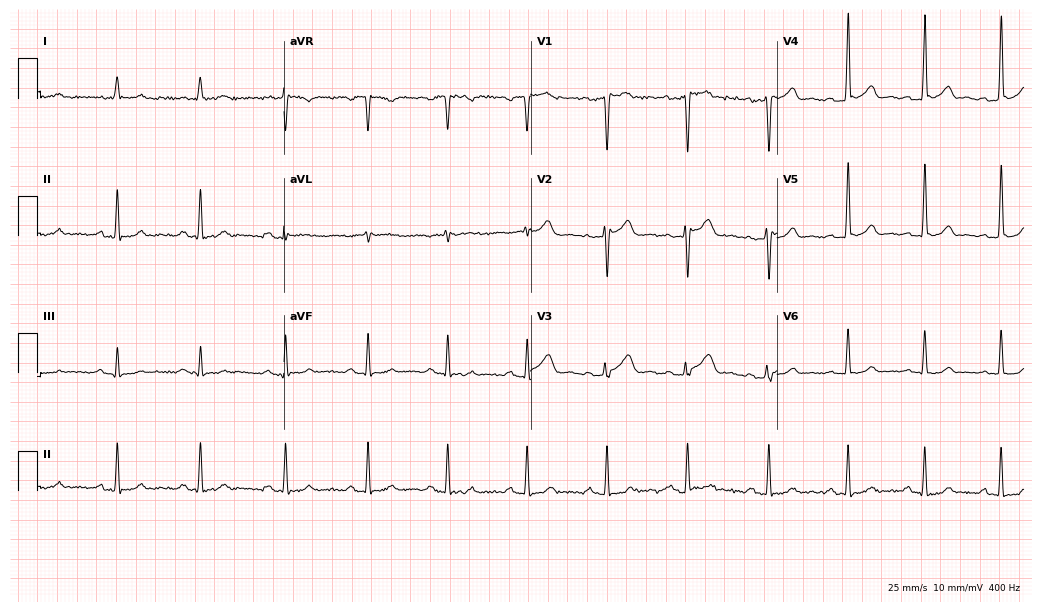
Standard 12-lead ECG recorded from a 48-year-old male patient (10.1-second recording at 400 Hz). Read as a normal ECG.